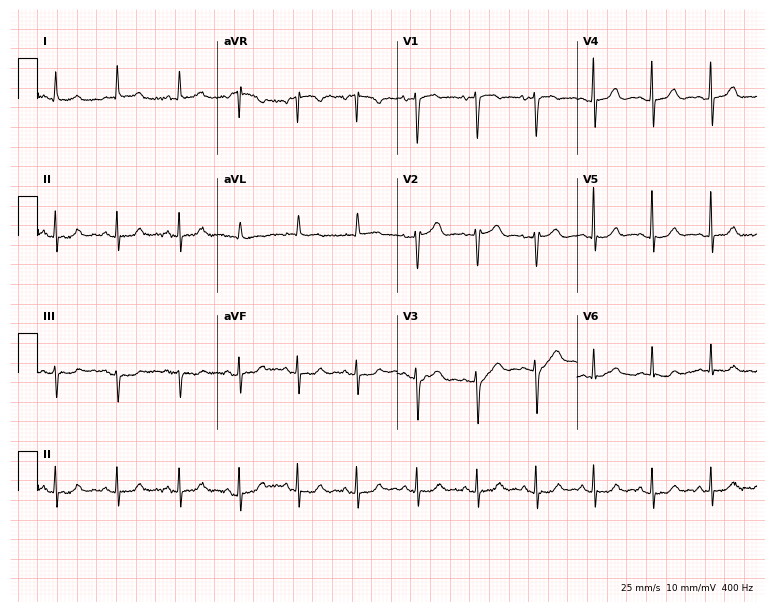
ECG (7.3-second recording at 400 Hz) — an 81-year-old female patient. Screened for six findings — first-degree AV block, right bundle branch block (RBBB), left bundle branch block (LBBB), sinus bradycardia, atrial fibrillation (AF), sinus tachycardia — none is recorded.